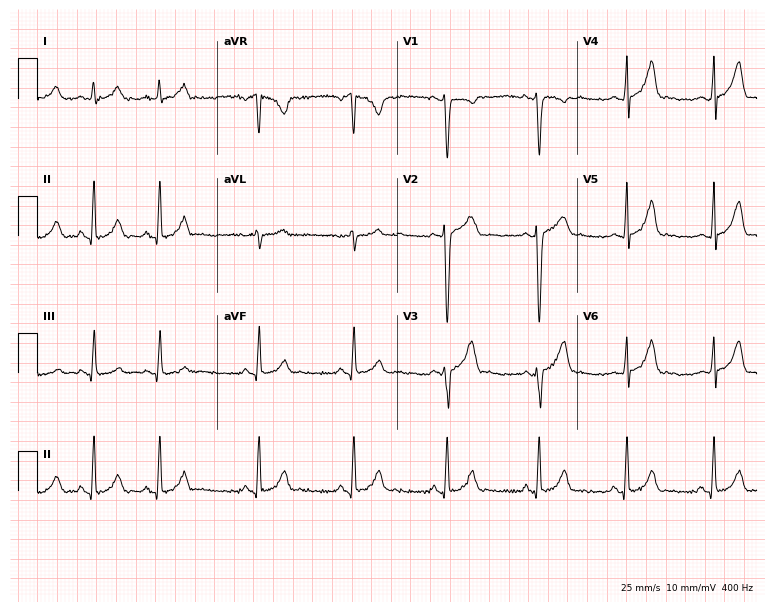
Resting 12-lead electrocardiogram. Patient: a female, 21 years old. Read as a normal ECG.